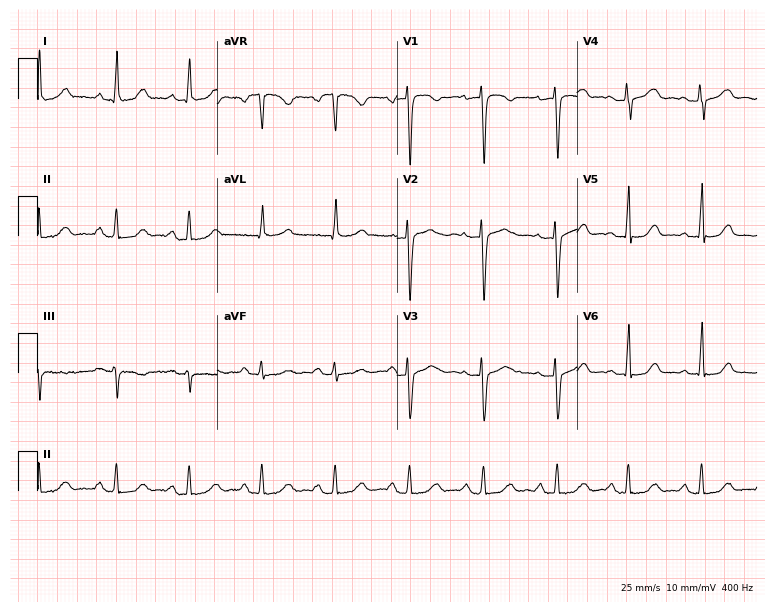
ECG — a 42-year-old female. Screened for six findings — first-degree AV block, right bundle branch block, left bundle branch block, sinus bradycardia, atrial fibrillation, sinus tachycardia — none is recorded. Other findings, if any, are not listed.